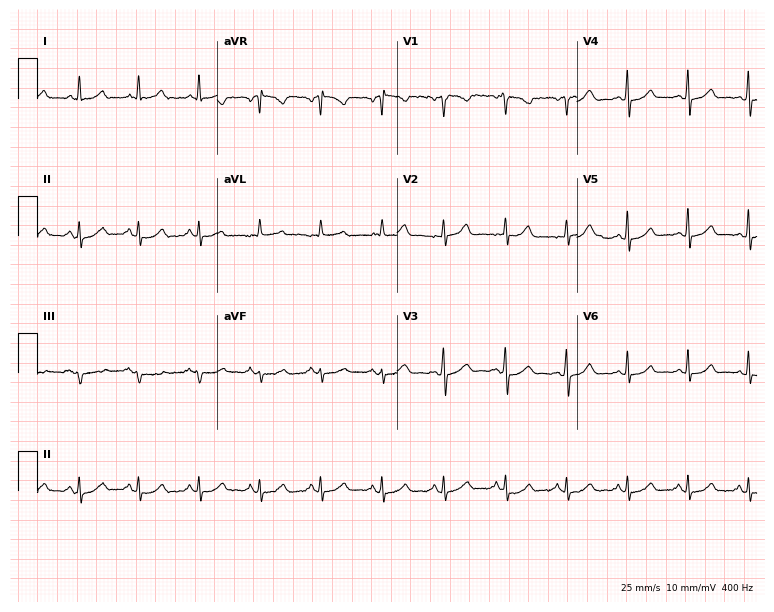
12-lead ECG from a woman, 48 years old. Recorded interpretation: within normal limits.